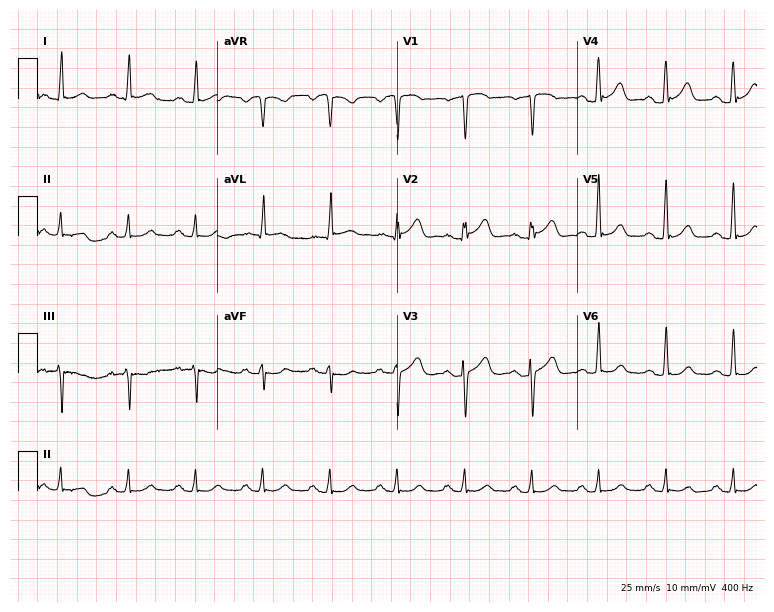
12-lead ECG from a 66-year-old man. Recorded interpretation: within normal limits.